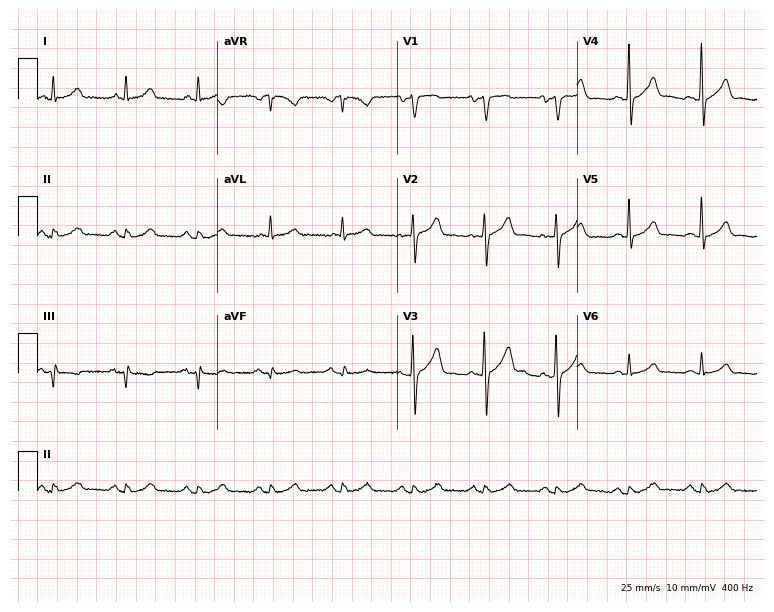
ECG — a female patient, 73 years old. Labelled as a normal ECG.